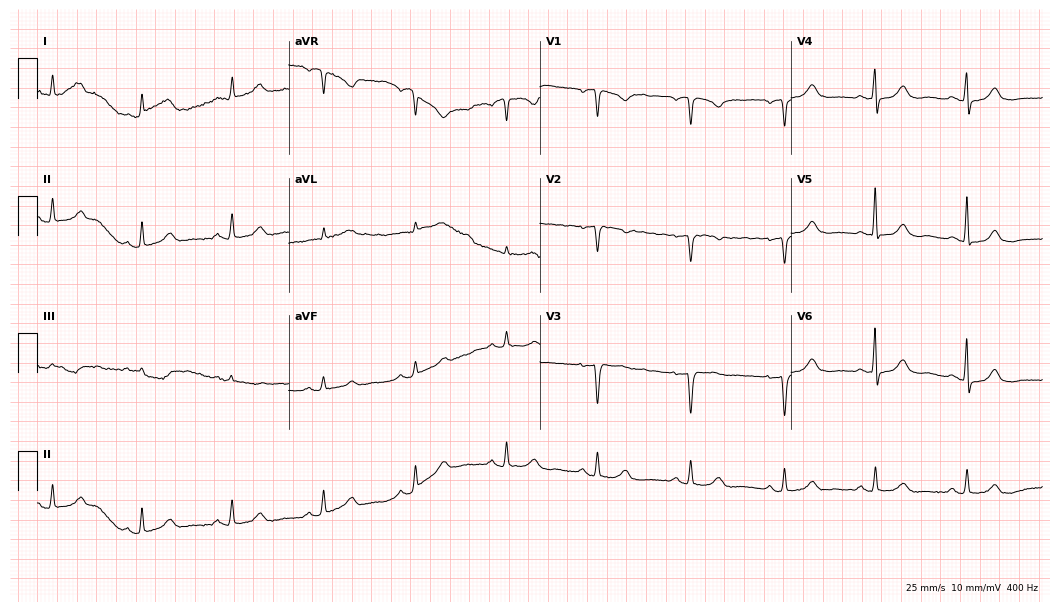
12-lead ECG from a woman, 49 years old. No first-degree AV block, right bundle branch block, left bundle branch block, sinus bradycardia, atrial fibrillation or sinus tachycardia recorded for this tracing.